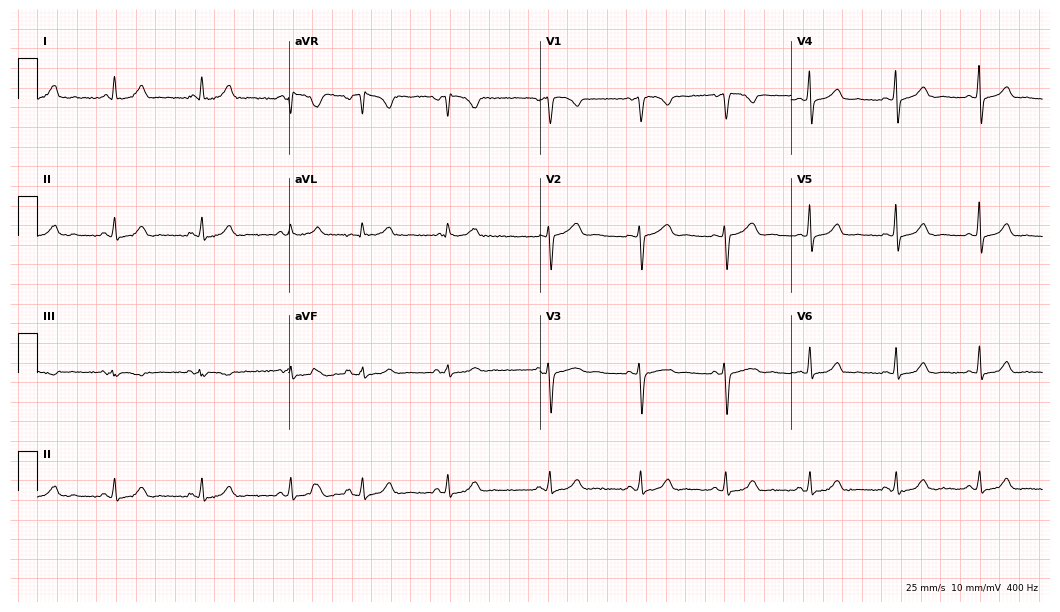
Standard 12-lead ECG recorded from a woman, 36 years old. Read as a normal ECG.